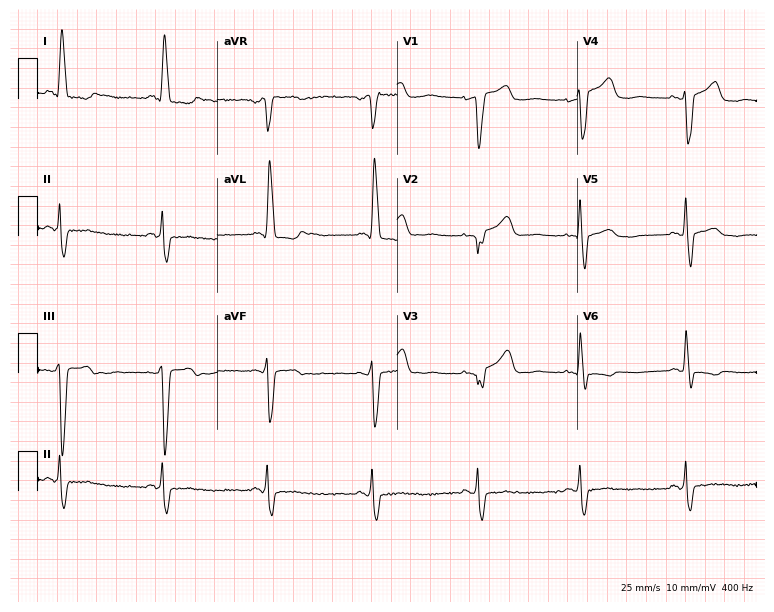
ECG (7.3-second recording at 400 Hz) — a man, 80 years old. Findings include left bundle branch block.